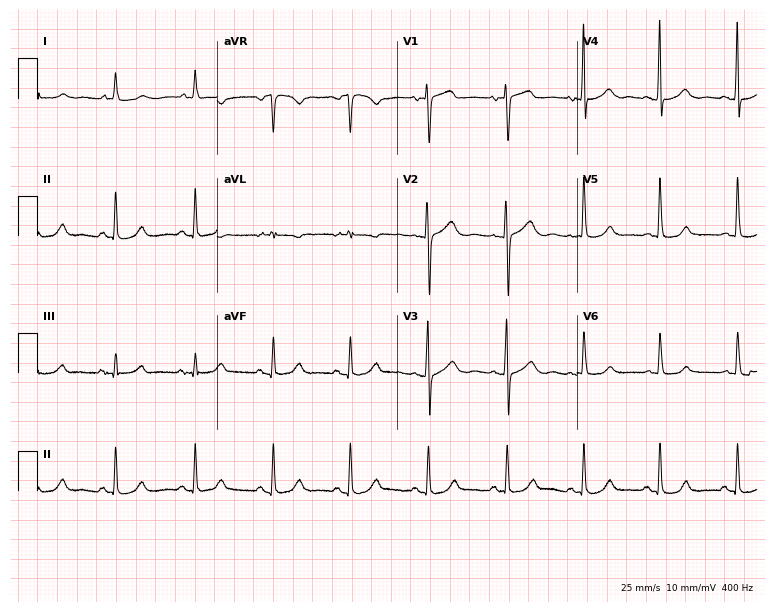
Electrocardiogram (7.3-second recording at 400 Hz), a 71-year-old woman. Of the six screened findings (first-degree AV block, right bundle branch block (RBBB), left bundle branch block (LBBB), sinus bradycardia, atrial fibrillation (AF), sinus tachycardia), none is recorded. Findings outside these six are not listed.